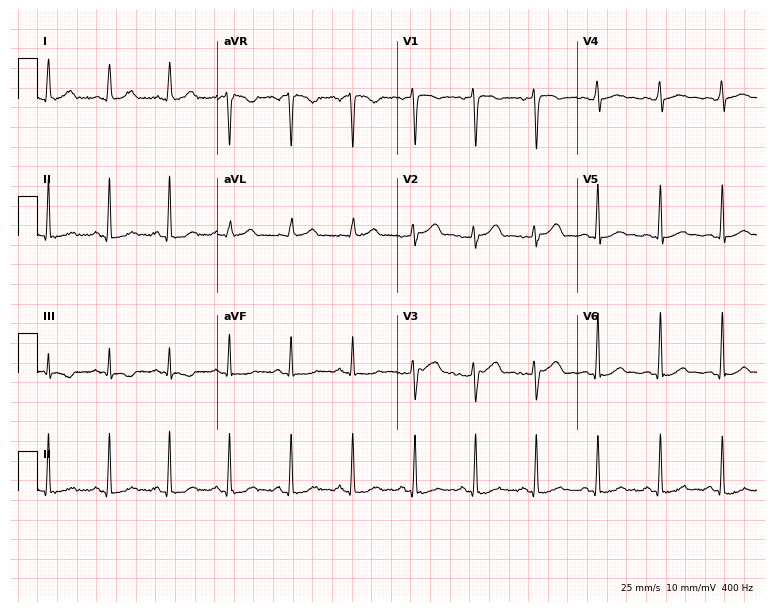
Resting 12-lead electrocardiogram (7.3-second recording at 400 Hz). Patient: a woman, 38 years old. Read as a normal ECG.